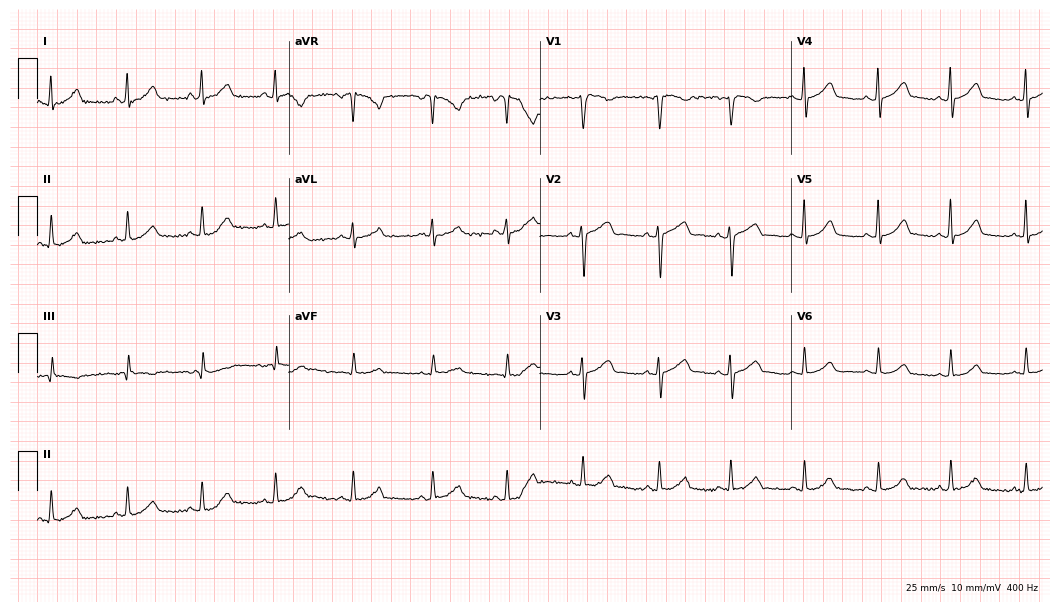
12-lead ECG (10.2-second recording at 400 Hz) from a female, 33 years old. Labelled as a normal ECG.